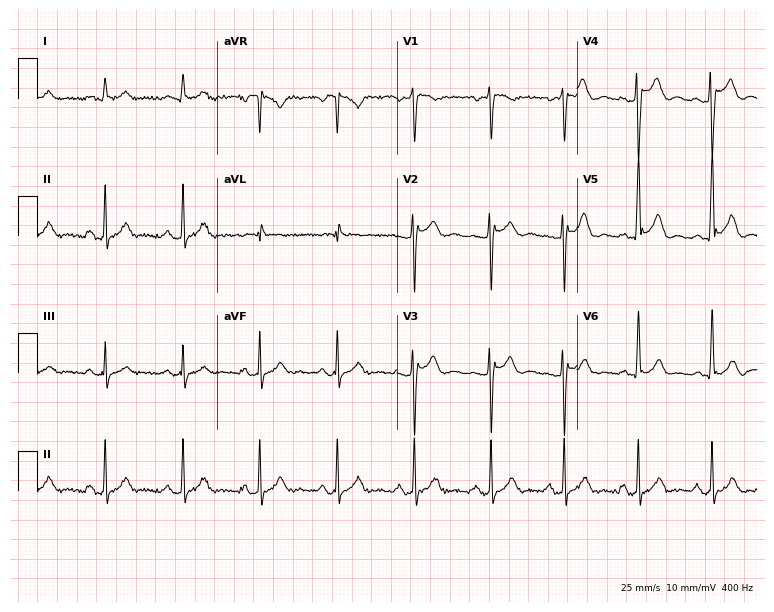
Resting 12-lead electrocardiogram. Patient: a 37-year-old male. None of these six findings is recorded: first-degree AV block, right bundle branch block, left bundle branch block, sinus bradycardia, atrial fibrillation, sinus tachycardia.